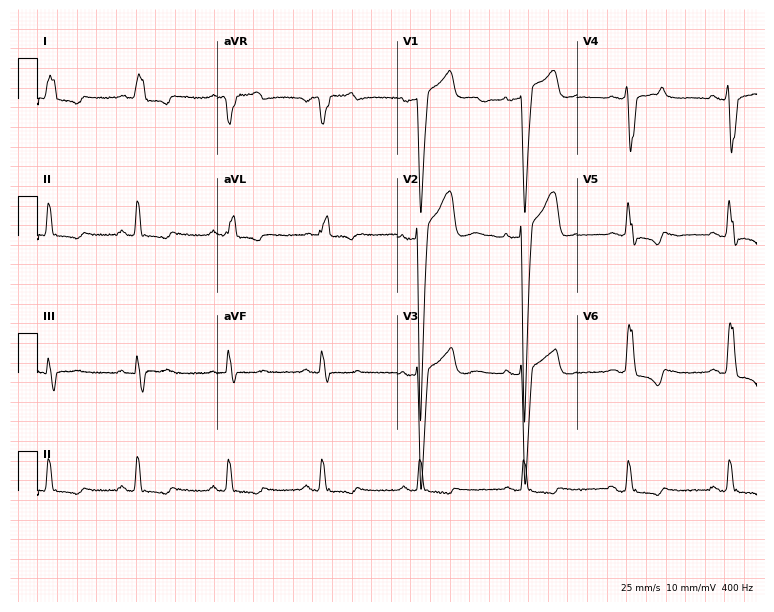
Standard 12-lead ECG recorded from a 57-year-old man. The tracing shows left bundle branch block (LBBB).